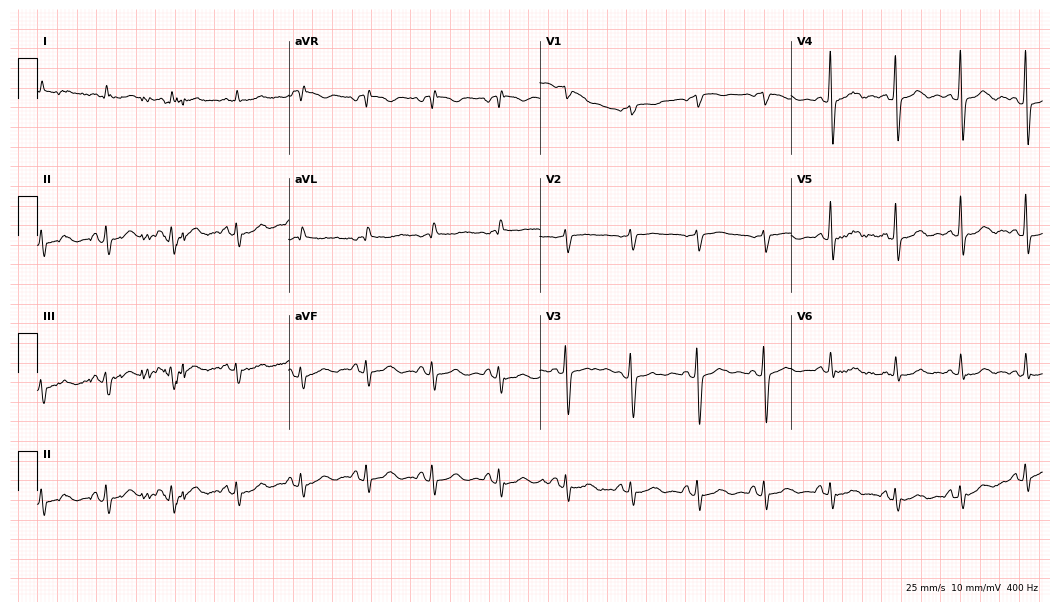
12-lead ECG from a 70-year-old female (10.2-second recording at 400 Hz). No first-degree AV block, right bundle branch block (RBBB), left bundle branch block (LBBB), sinus bradycardia, atrial fibrillation (AF) or sinus tachycardia recorded for this tracing. Other findings, if any, are not listed.